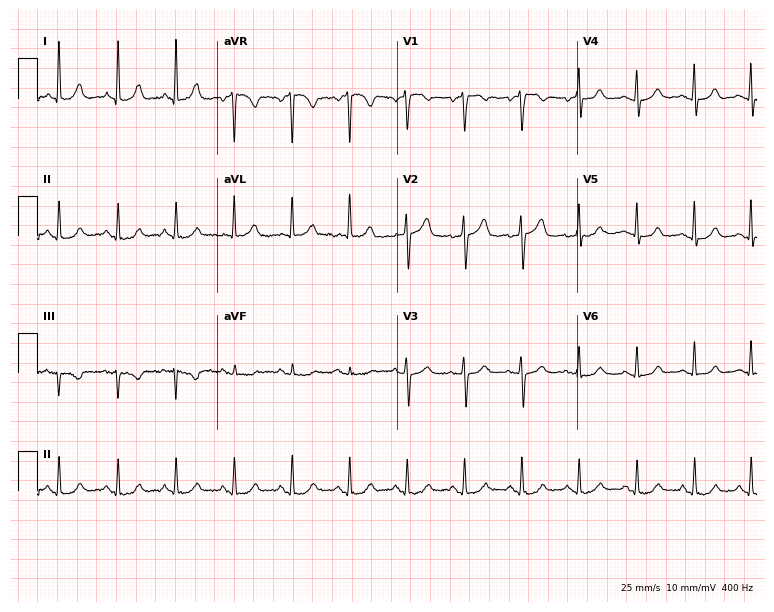
12-lead ECG from a 58-year-old woman. Labelled as a normal ECG.